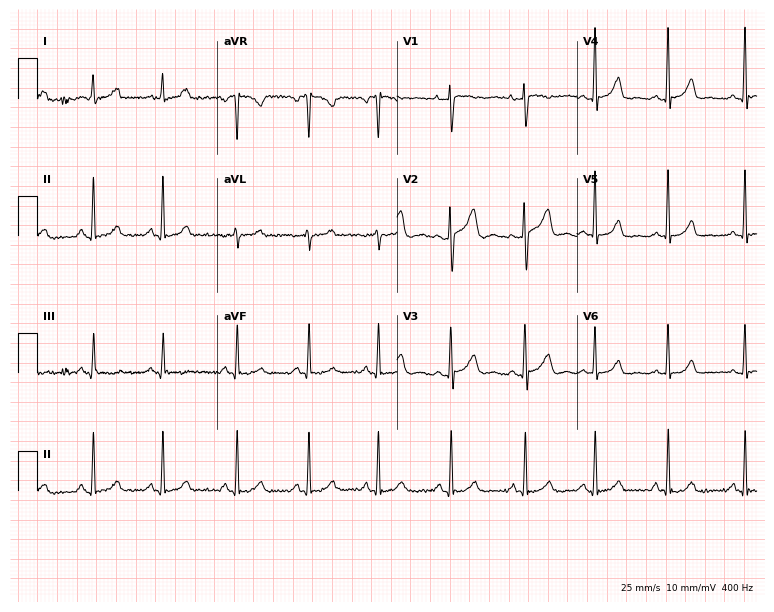
12-lead ECG from a 36-year-old female patient. Screened for six findings — first-degree AV block, right bundle branch block, left bundle branch block, sinus bradycardia, atrial fibrillation, sinus tachycardia — none is recorded.